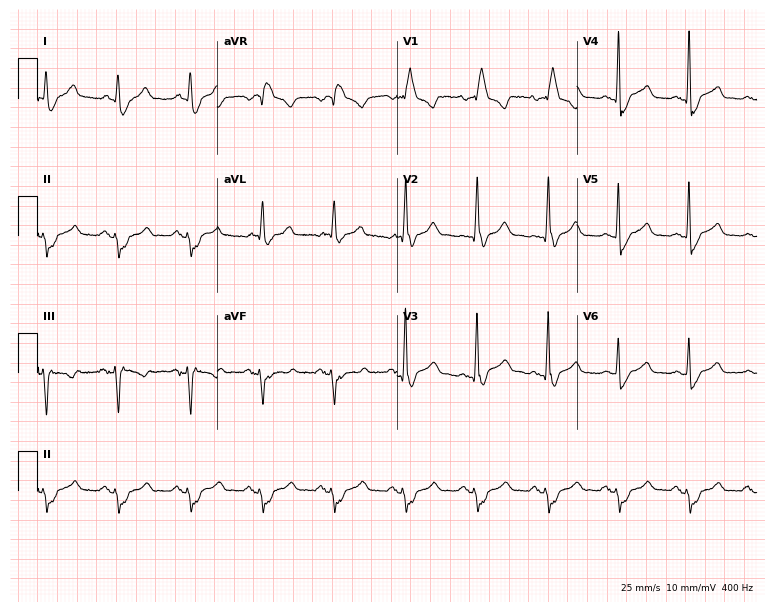
12-lead ECG from a 56-year-old female patient. Shows right bundle branch block.